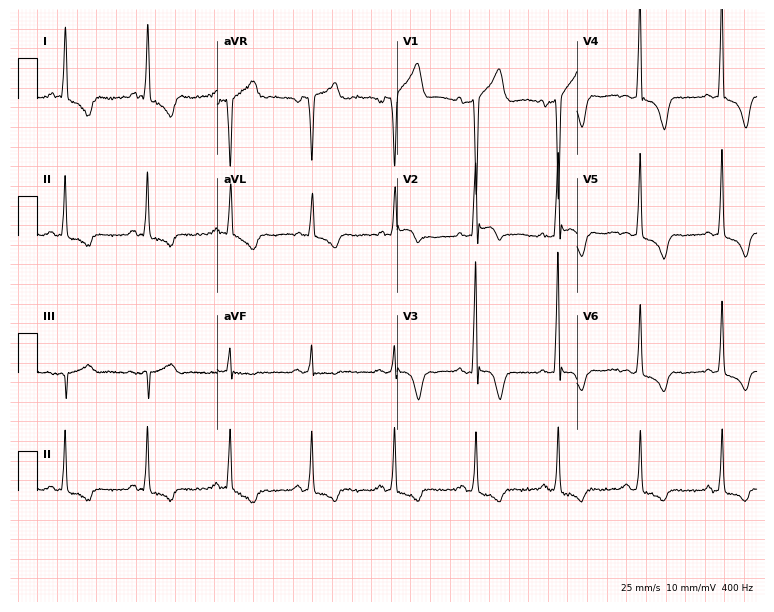
Resting 12-lead electrocardiogram. Patient: a 58-year-old man. None of these six findings is recorded: first-degree AV block, right bundle branch block (RBBB), left bundle branch block (LBBB), sinus bradycardia, atrial fibrillation (AF), sinus tachycardia.